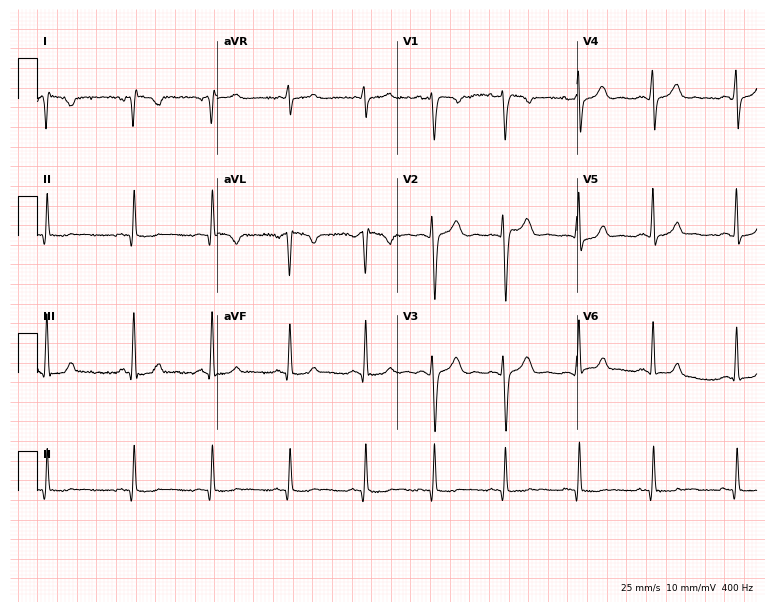
Electrocardiogram (7.3-second recording at 400 Hz), a female, 21 years old. Of the six screened findings (first-degree AV block, right bundle branch block (RBBB), left bundle branch block (LBBB), sinus bradycardia, atrial fibrillation (AF), sinus tachycardia), none is recorded. Findings outside these six are not listed.